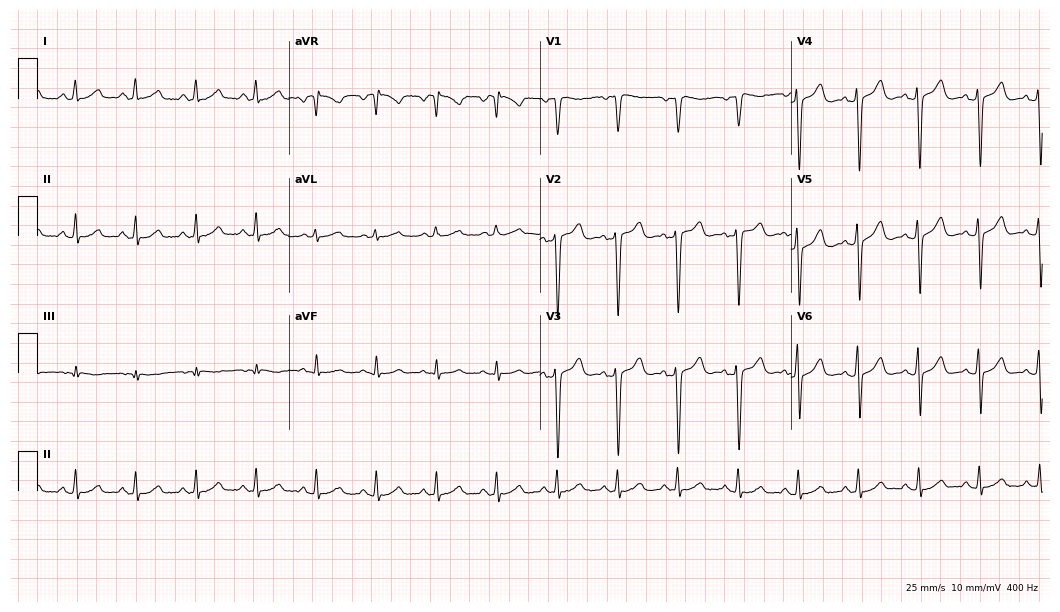
12-lead ECG (10.2-second recording at 400 Hz) from a 54-year-old woman. Screened for six findings — first-degree AV block, right bundle branch block, left bundle branch block, sinus bradycardia, atrial fibrillation, sinus tachycardia — none is recorded.